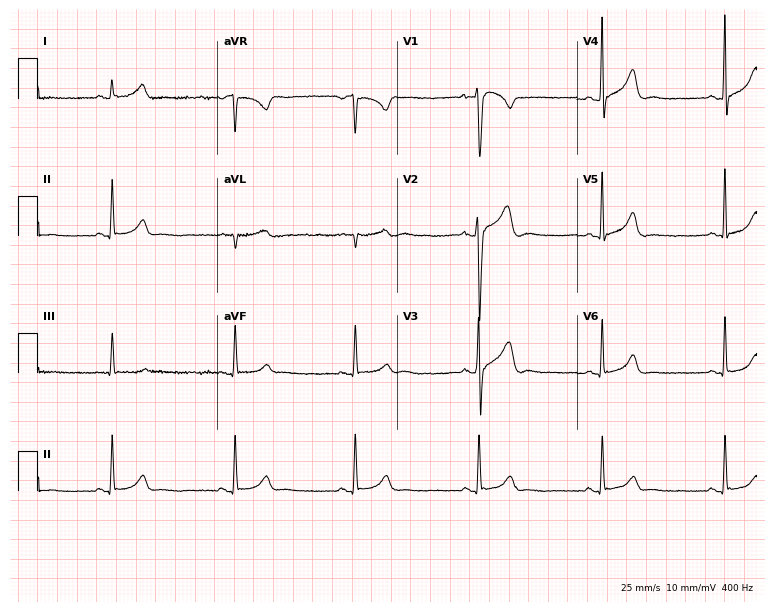
Electrocardiogram (7.3-second recording at 400 Hz), a 46-year-old man. Interpretation includes sinus bradycardia (a sinus rate of 50 beats per minute or less).